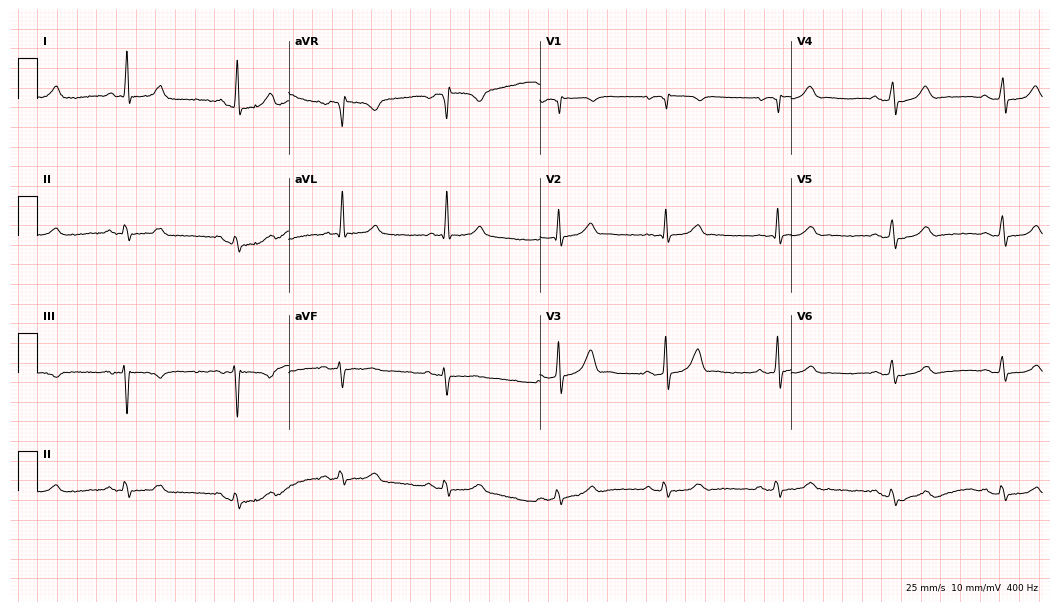
12-lead ECG (10.2-second recording at 400 Hz) from a 73-year-old male. Labelled as a normal ECG.